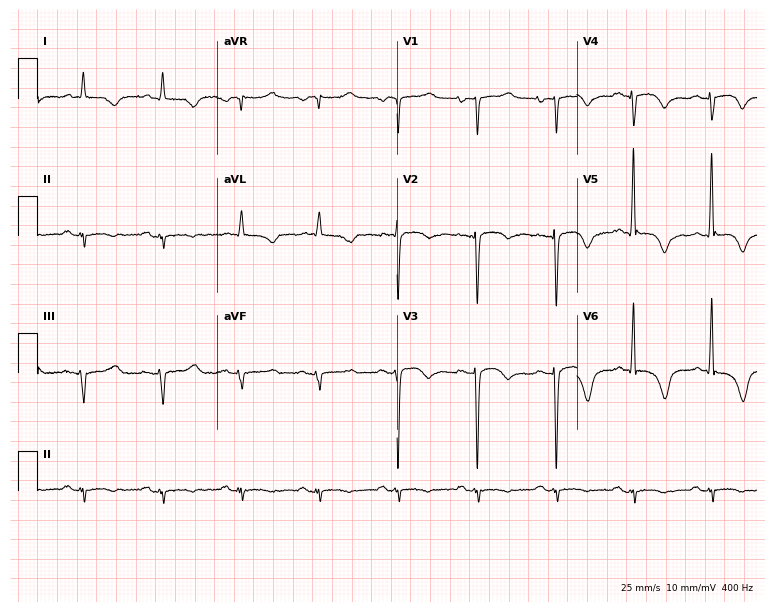
Resting 12-lead electrocardiogram (7.3-second recording at 400 Hz). Patient: a 54-year-old male. None of these six findings is recorded: first-degree AV block, right bundle branch block, left bundle branch block, sinus bradycardia, atrial fibrillation, sinus tachycardia. Only these six findings were labelled.